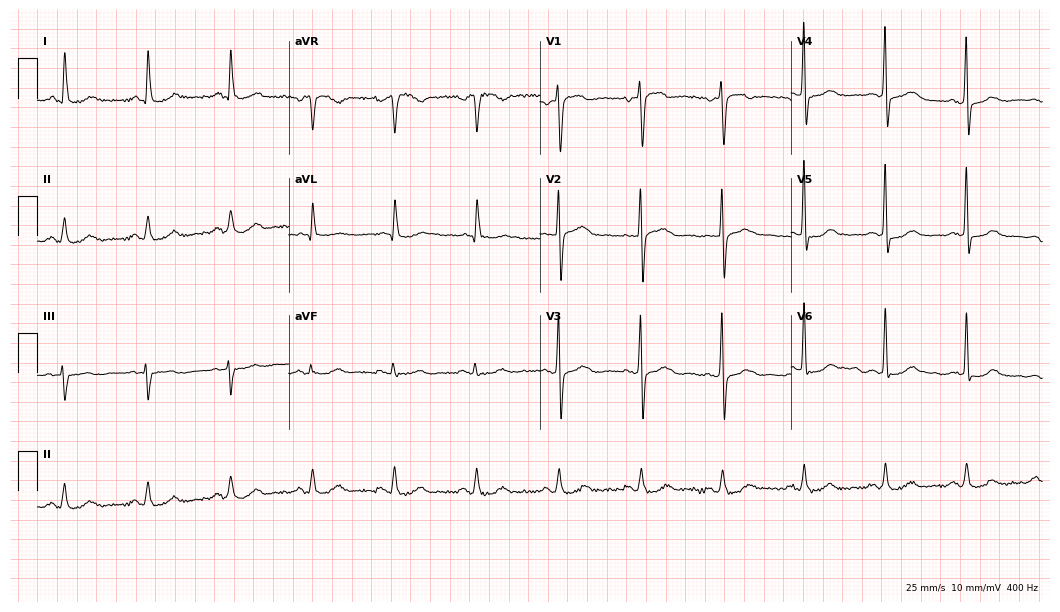
Standard 12-lead ECG recorded from a man, 75 years old. Read as a normal ECG.